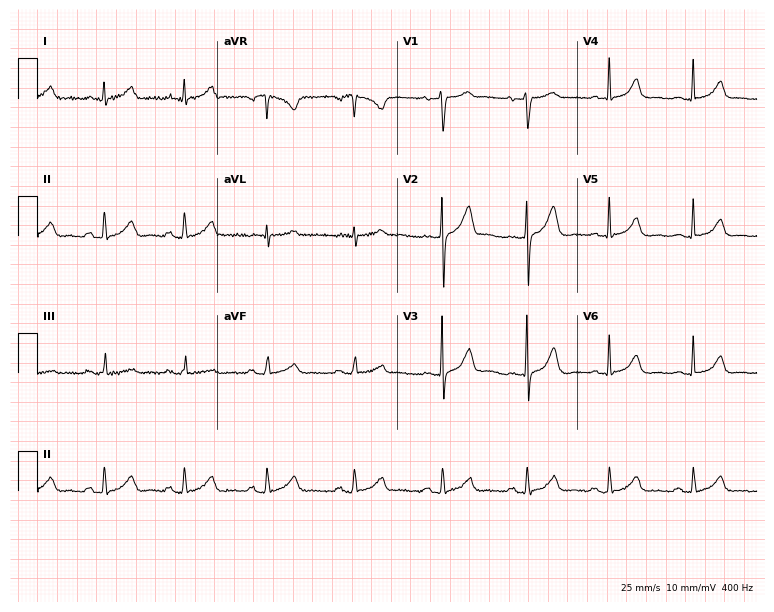
Electrocardiogram, a man, 41 years old. Overall reading on record: normal ECG.